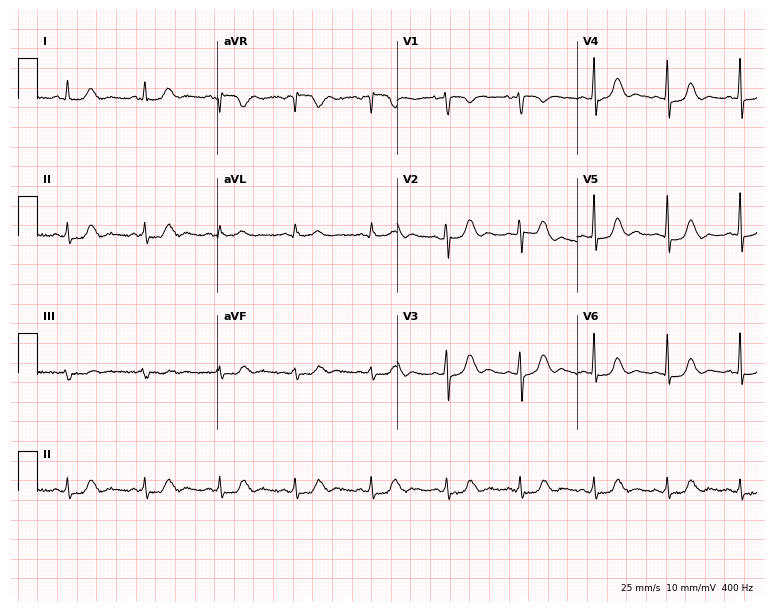
12-lead ECG (7.3-second recording at 400 Hz) from a 43-year-old female. Screened for six findings — first-degree AV block, right bundle branch block, left bundle branch block, sinus bradycardia, atrial fibrillation, sinus tachycardia — none is recorded. Findings outside these six are not listed.